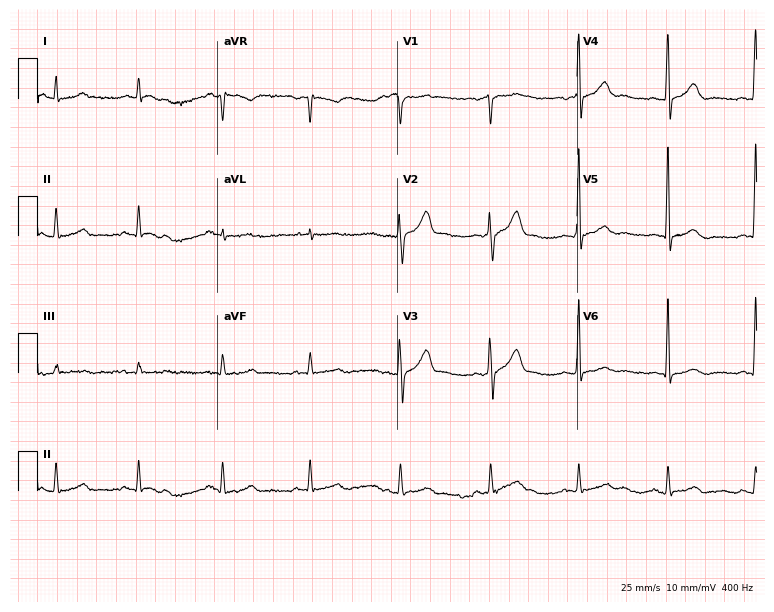
ECG (7.3-second recording at 400 Hz) — a 41-year-old man. Screened for six findings — first-degree AV block, right bundle branch block, left bundle branch block, sinus bradycardia, atrial fibrillation, sinus tachycardia — none is recorded. Findings outside these six are not listed.